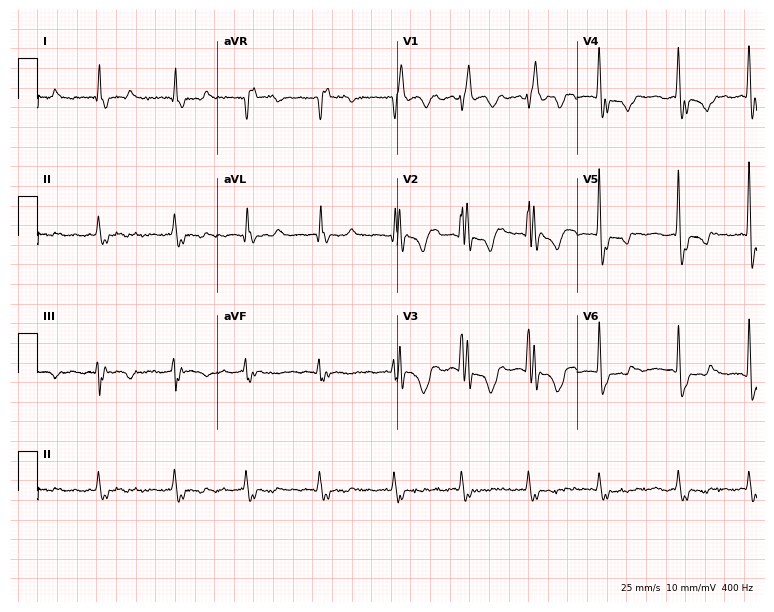
Resting 12-lead electrocardiogram (7.3-second recording at 400 Hz). Patient: an 85-year-old female. The tracing shows right bundle branch block.